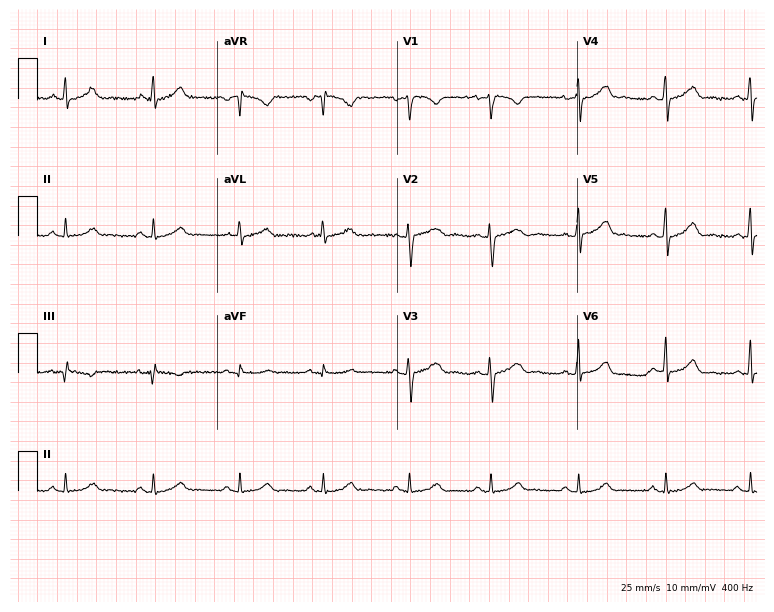
Standard 12-lead ECG recorded from a 28-year-old female (7.3-second recording at 400 Hz). None of these six findings is recorded: first-degree AV block, right bundle branch block (RBBB), left bundle branch block (LBBB), sinus bradycardia, atrial fibrillation (AF), sinus tachycardia.